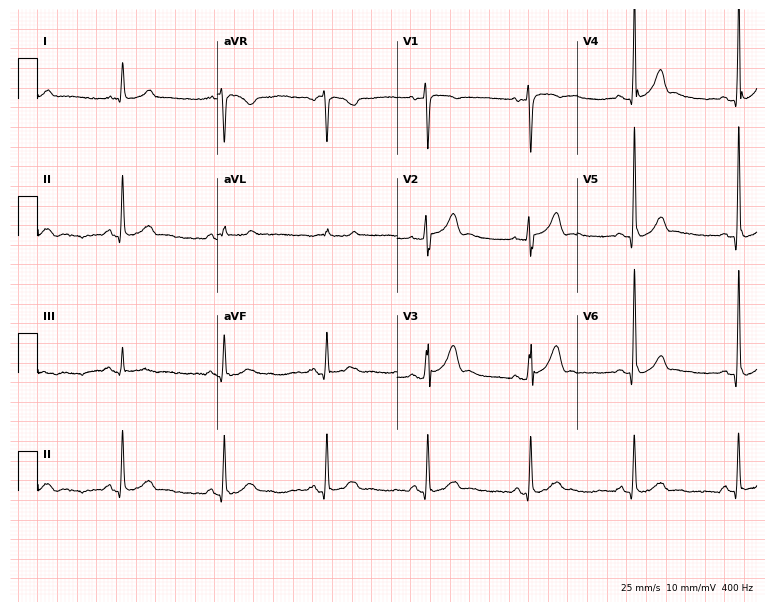
ECG — a 49-year-old man. Labelled as a normal ECG.